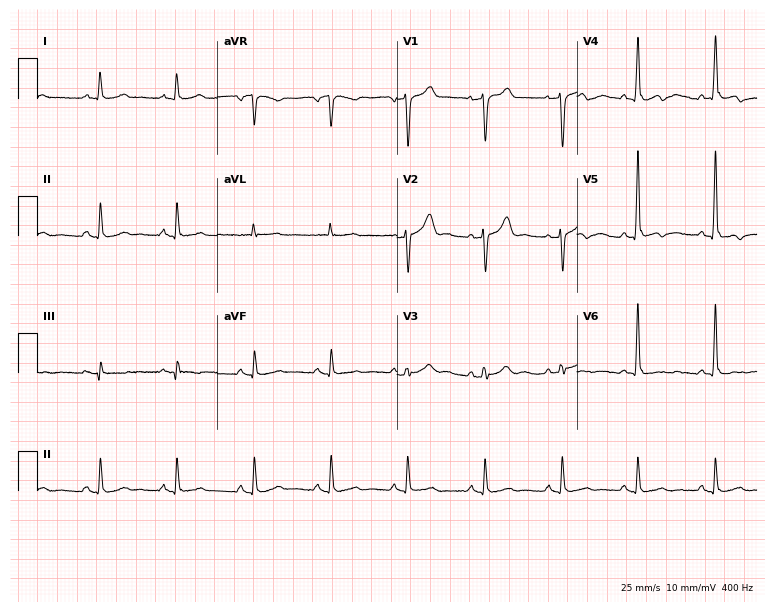
12-lead ECG from a male patient, 55 years old. Screened for six findings — first-degree AV block, right bundle branch block, left bundle branch block, sinus bradycardia, atrial fibrillation, sinus tachycardia — none is recorded.